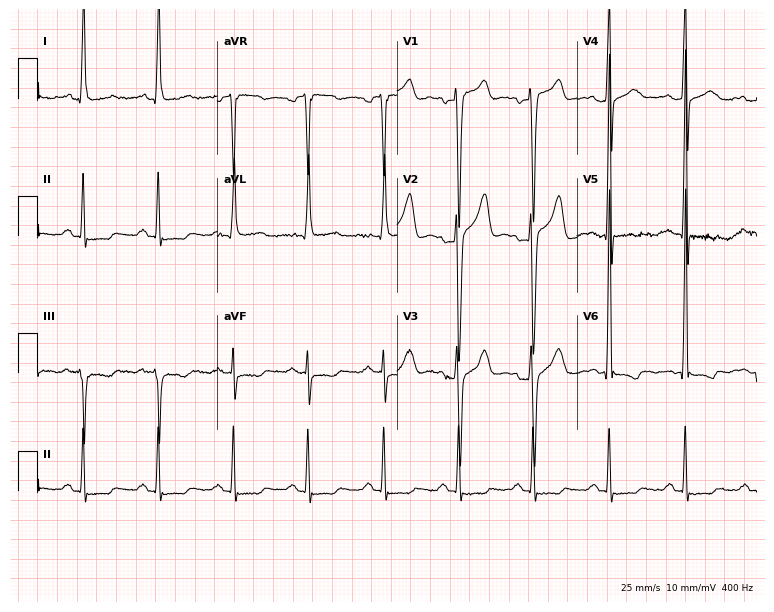
12-lead ECG (7.3-second recording at 400 Hz) from a male, 44 years old. Screened for six findings — first-degree AV block, right bundle branch block, left bundle branch block, sinus bradycardia, atrial fibrillation, sinus tachycardia — none is recorded. Findings outside these six are not listed.